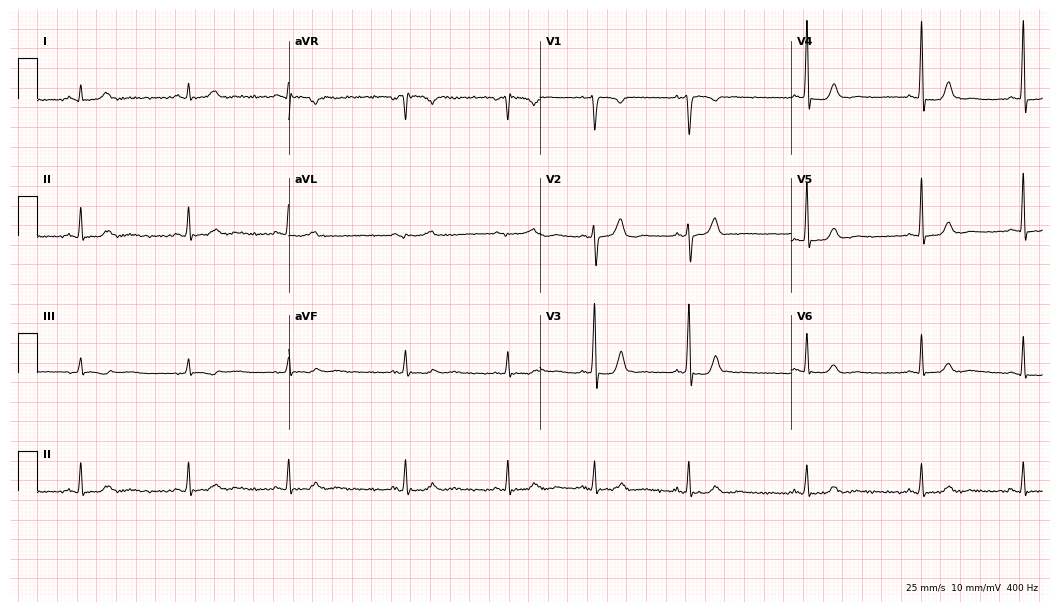
12-lead ECG from a female patient, 33 years old (10.2-second recording at 400 Hz). Recorded interpretation: within normal limits.